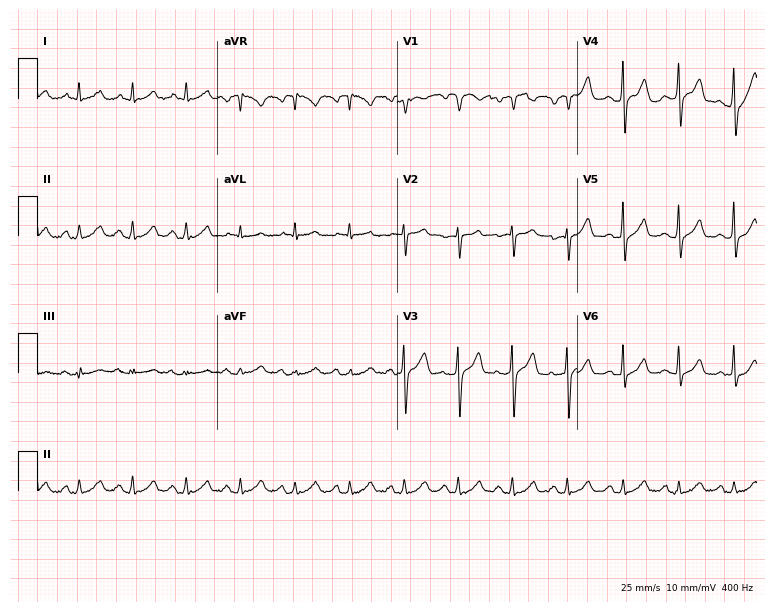
Electrocardiogram, a male, 53 years old. Interpretation includes sinus tachycardia (a sinus rate of 100 beats per minute or more).